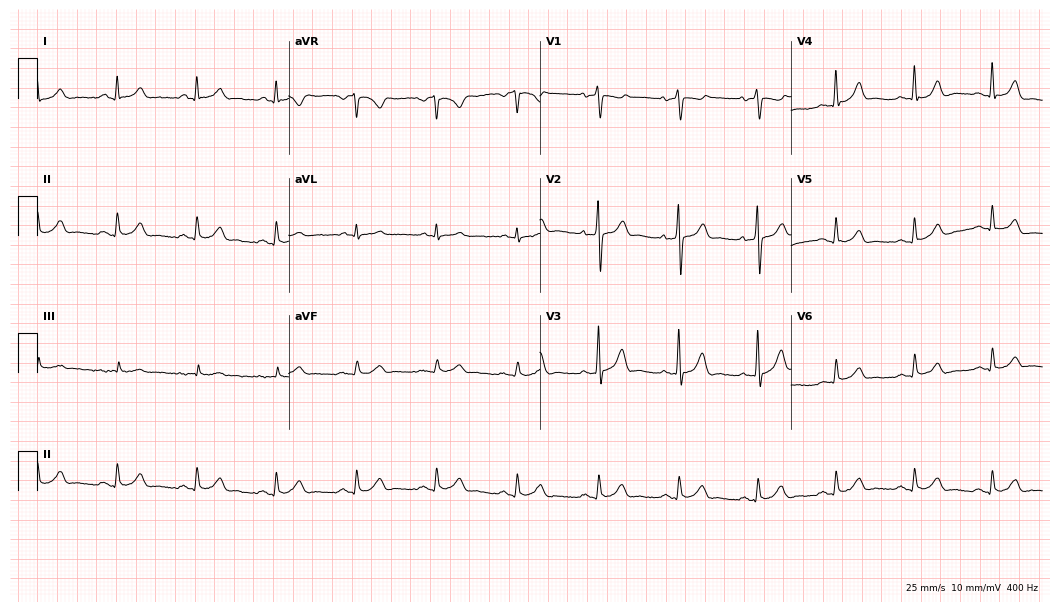
12-lead ECG from a 55-year-old male patient (10.2-second recording at 400 Hz). Recorded interpretation: within normal limits.